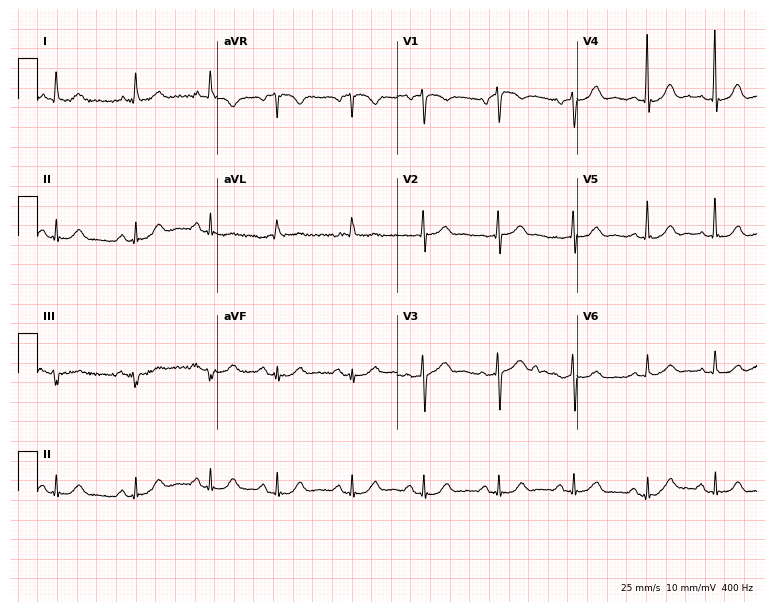
12-lead ECG from a 63-year-old female patient. No first-degree AV block, right bundle branch block, left bundle branch block, sinus bradycardia, atrial fibrillation or sinus tachycardia recorded for this tracing.